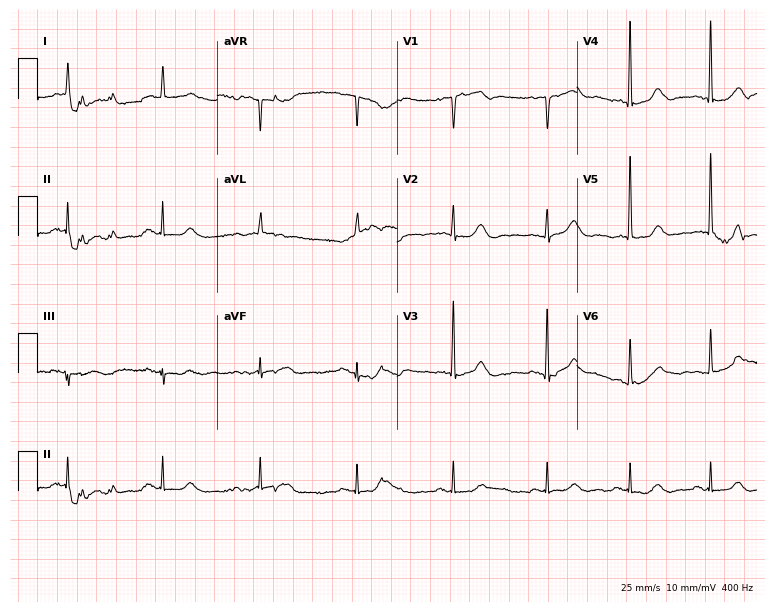
12-lead ECG from a woman, 82 years old (7.3-second recording at 400 Hz). No first-degree AV block, right bundle branch block (RBBB), left bundle branch block (LBBB), sinus bradycardia, atrial fibrillation (AF) or sinus tachycardia recorded for this tracing. Findings outside these six are not listed.